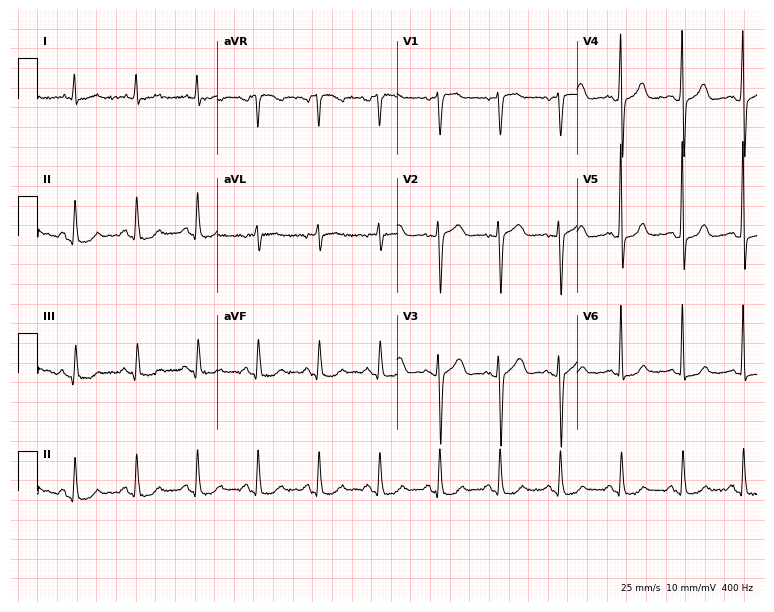
12-lead ECG from a 67-year-old female (7.3-second recording at 400 Hz). No first-degree AV block, right bundle branch block, left bundle branch block, sinus bradycardia, atrial fibrillation or sinus tachycardia recorded for this tracing.